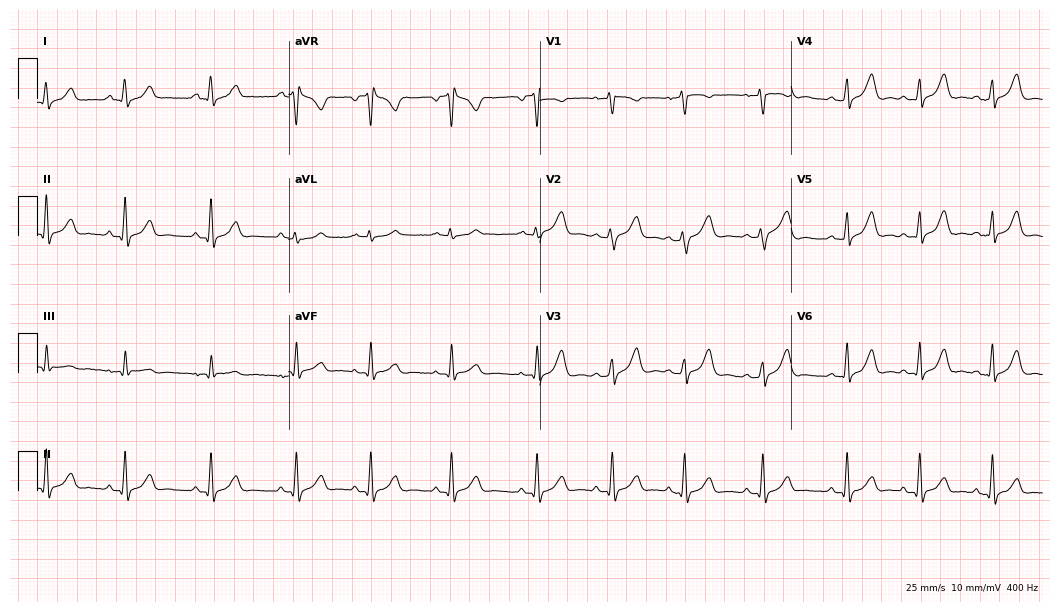
12-lead ECG from a female, 21 years old (10.2-second recording at 400 Hz). No first-degree AV block, right bundle branch block, left bundle branch block, sinus bradycardia, atrial fibrillation or sinus tachycardia recorded for this tracing.